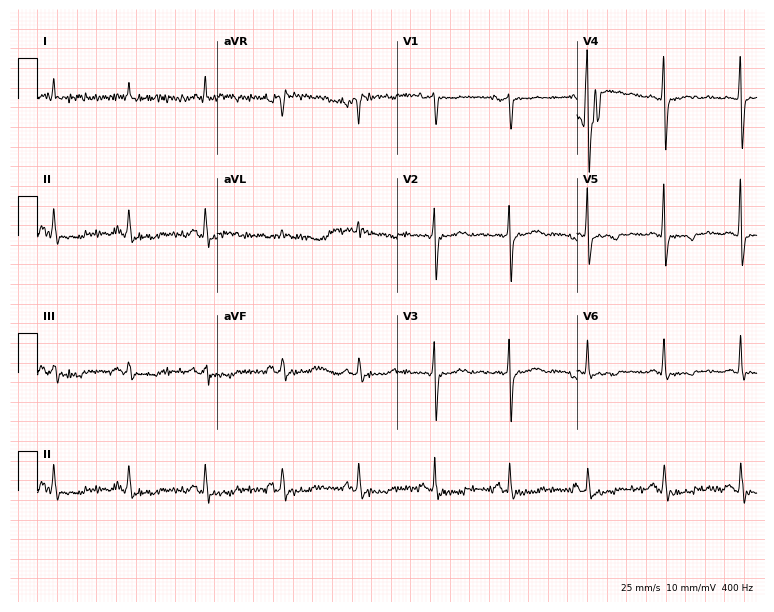
ECG (7.3-second recording at 400 Hz) — a 61-year-old female. Screened for six findings — first-degree AV block, right bundle branch block (RBBB), left bundle branch block (LBBB), sinus bradycardia, atrial fibrillation (AF), sinus tachycardia — none is recorded. Findings outside these six are not listed.